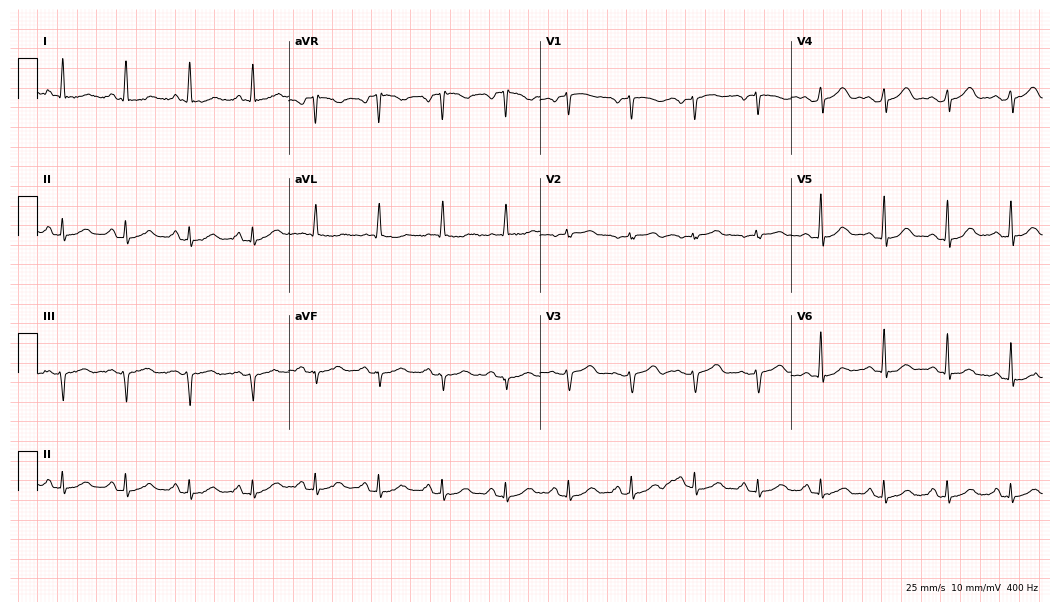
12-lead ECG from a 57-year-old female patient (10.2-second recording at 400 Hz). Recorded interpretation: within normal limits.